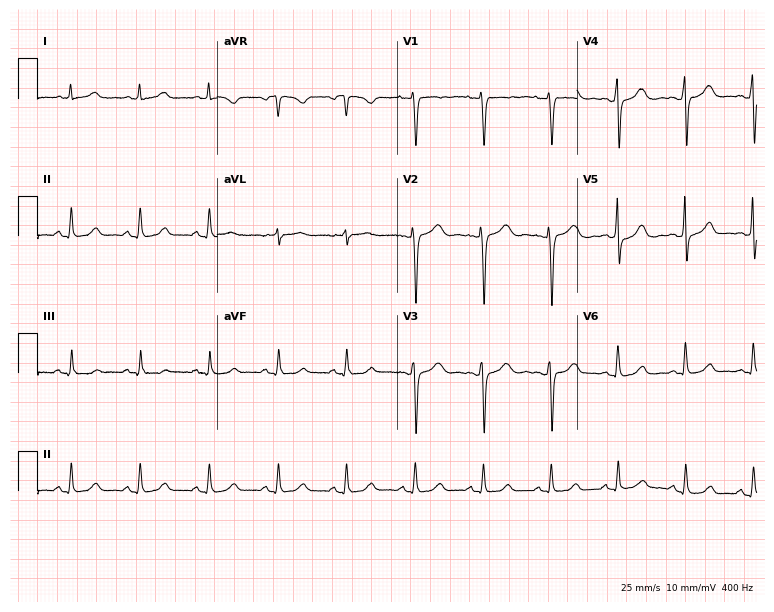
12-lead ECG (7.3-second recording at 400 Hz) from a 52-year-old female. Screened for six findings — first-degree AV block, right bundle branch block, left bundle branch block, sinus bradycardia, atrial fibrillation, sinus tachycardia — none is recorded. Only these six findings were labelled.